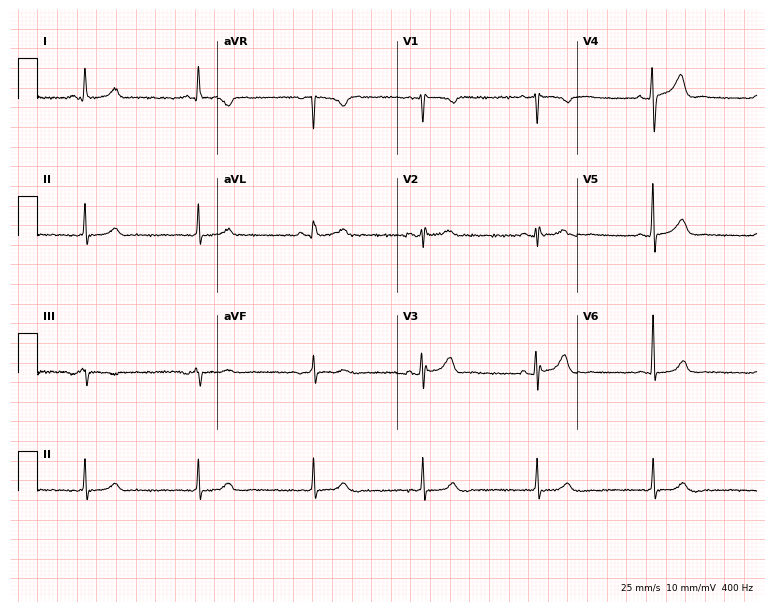
ECG — a 49-year-old woman. Screened for six findings — first-degree AV block, right bundle branch block, left bundle branch block, sinus bradycardia, atrial fibrillation, sinus tachycardia — none is recorded.